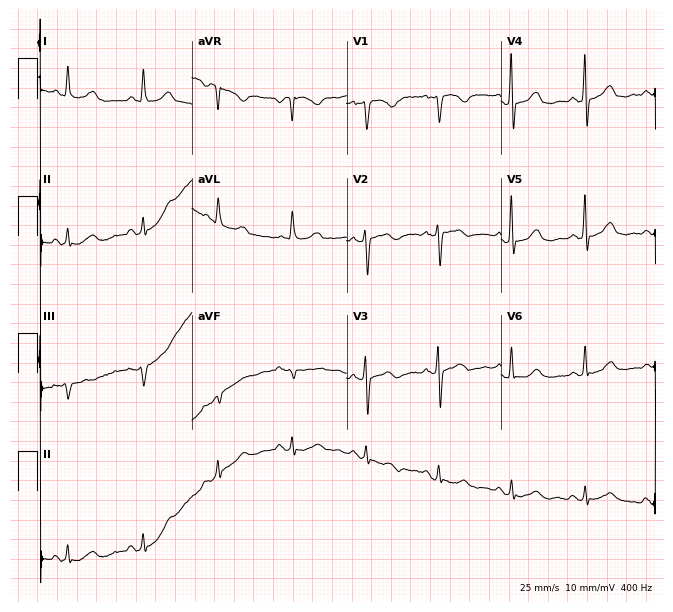
Standard 12-lead ECG recorded from a 71-year-old female patient. None of these six findings is recorded: first-degree AV block, right bundle branch block, left bundle branch block, sinus bradycardia, atrial fibrillation, sinus tachycardia.